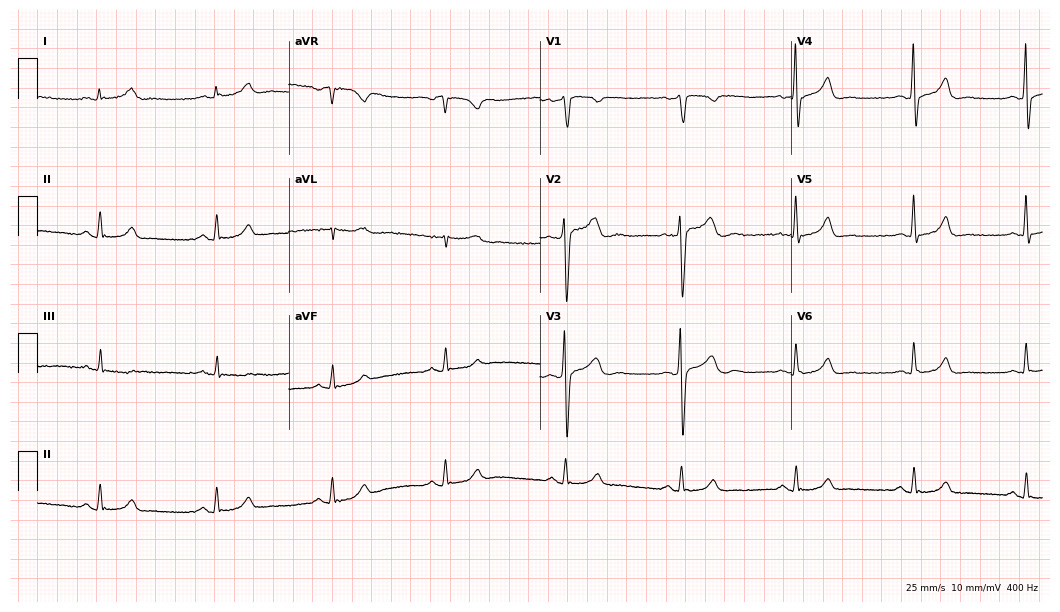
12-lead ECG from a 59-year-old male (10.2-second recording at 400 Hz). Recorded interpretation: within normal limits.